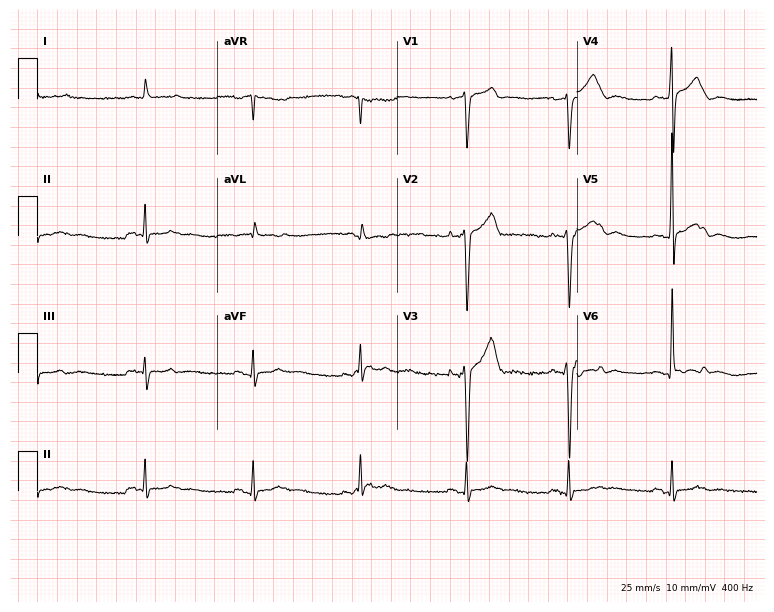
ECG (7.3-second recording at 400 Hz) — a 76-year-old male patient. Screened for six findings — first-degree AV block, right bundle branch block (RBBB), left bundle branch block (LBBB), sinus bradycardia, atrial fibrillation (AF), sinus tachycardia — none is recorded.